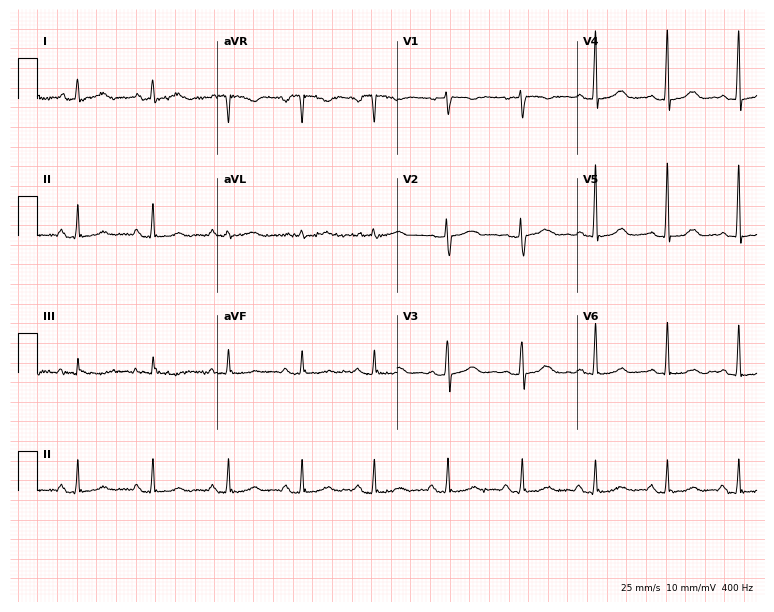
ECG — a 49-year-old female. Screened for six findings — first-degree AV block, right bundle branch block, left bundle branch block, sinus bradycardia, atrial fibrillation, sinus tachycardia — none is recorded.